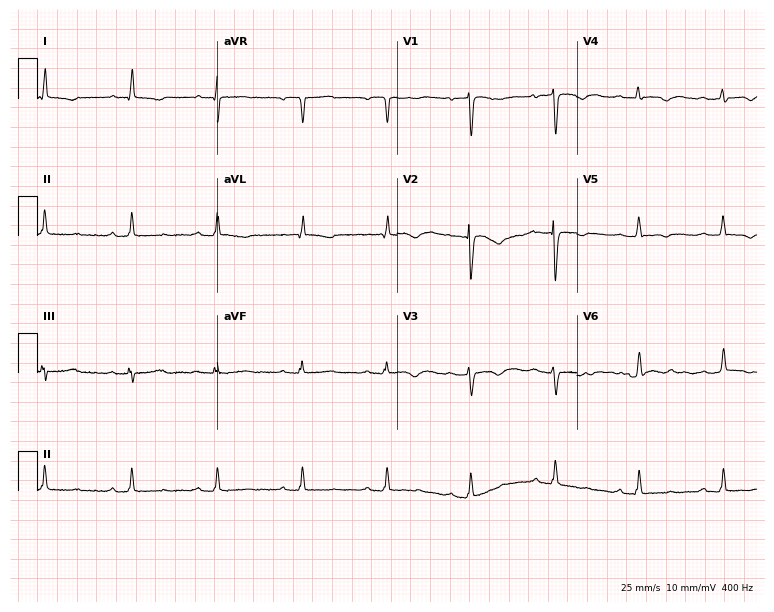
12-lead ECG (7.3-second recording at 400 Hz) from a 36-year-old male. Screened for six findings — first-degree AV block, right bundle branch block, left bundle branch block, sinus bradycardia, atrial fibrillation, sinus tachycardia — none is recorded. Only these six findings were labelled.